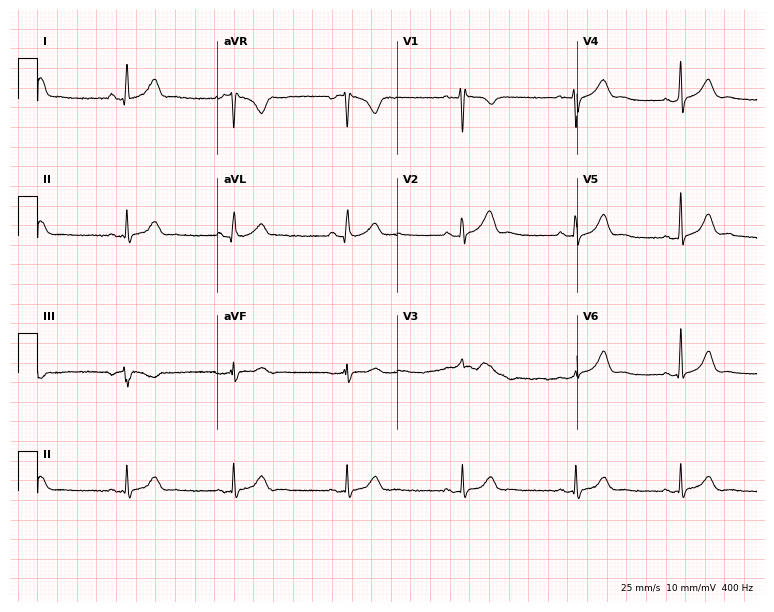
ECG (7.3-second recording at 400 Hz) — a woman, 35 years old. Labelled as a normal ECG.